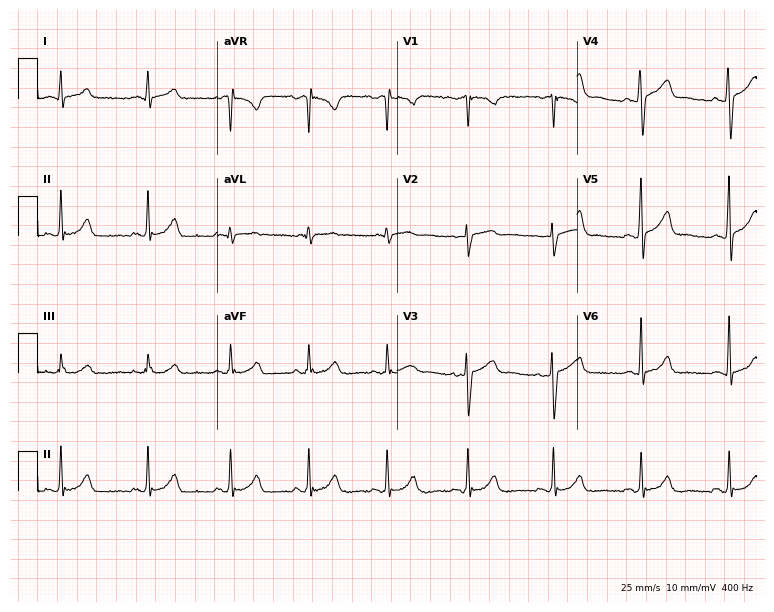
12-lead ECG from a male patient, 38 years old. Screened for six findings — first-degree AV block, right bundle branch block, left bundle branch block, sinus bradycardia, atrial fibrillation, sinus tachycardia — none is recorded.